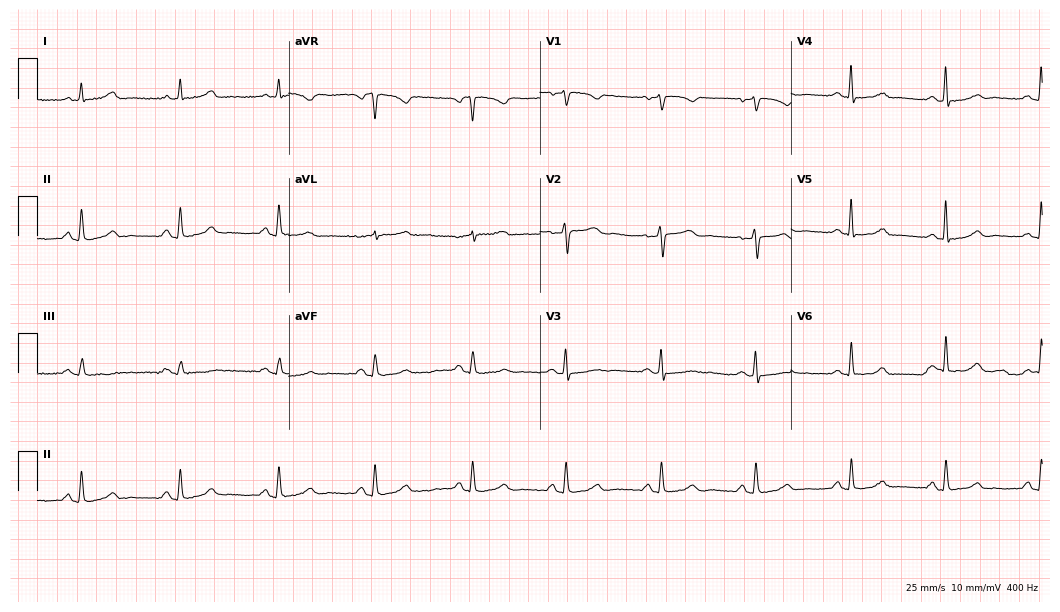
12-lead ECG from a 51-year-old female. No first-degree AV block, right bundle branch block (RBBB), left bundle branch block (LBBB), sinus bradycardia, atrial fibrillation (AF) or sinus tachycardia recorded for this tracing. Other findings, if any, are not listed.